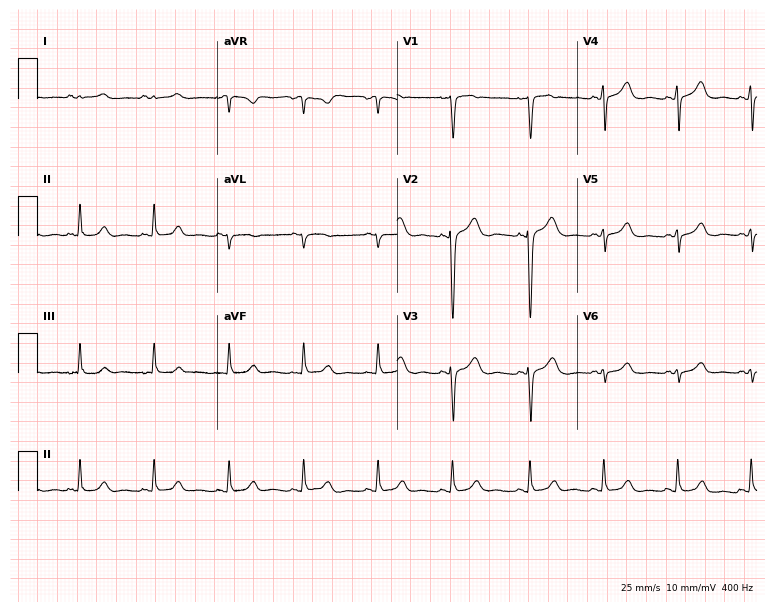
ECG — a 44-year-old woman. Screened for six findings — first-degree AV block, right bundle branch block (RBBB), left bundle branch block (LBBB), sinus bradycardia, atrial fibrillation (AF), sinus tachycardia — none is recorded. Only these six findings were labelled.